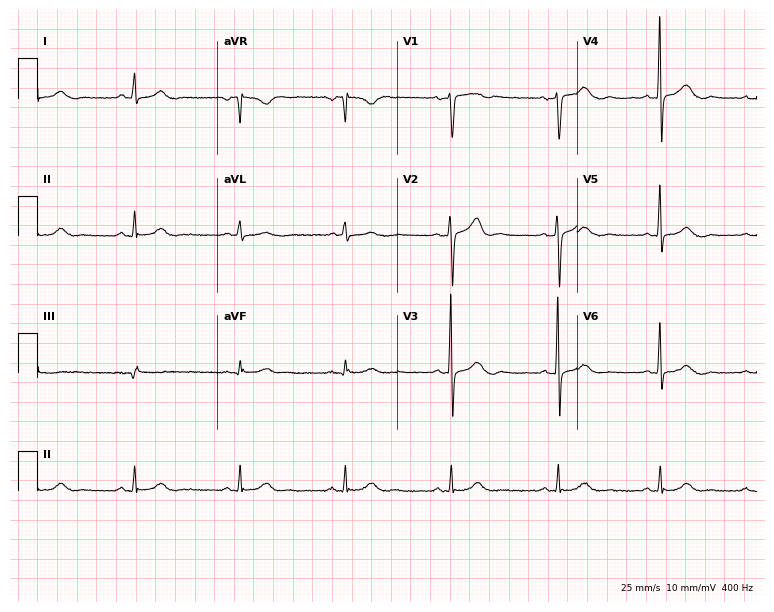
Electrocardiogram, a female, 55 years old. Of the six screened findings (first-degree AV block, right bundle branch block, left bundle branch block, sinus bradycardia, atrial fibrillation, sinus tachycardia), none is recorded. Other findings, if any, are not listed.